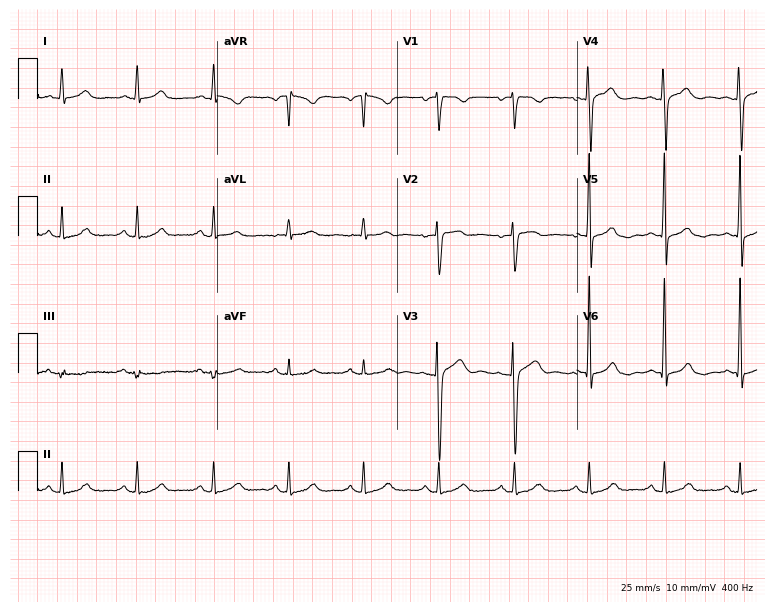
ECG — a 64-year-old man. Labelled as a normal ECG.